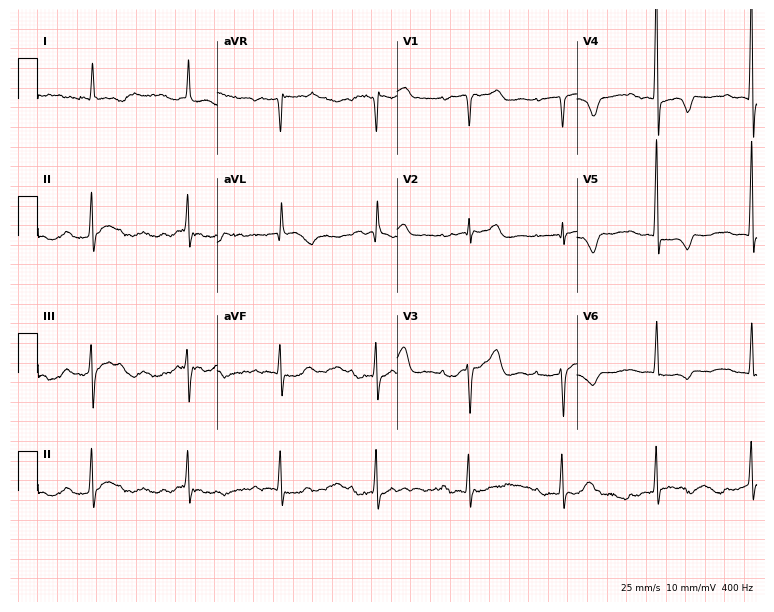
12-lead ECG (7.3-second recording at 400 Hz) from an 82-year-old woman. Screened for six findings — first-degree AV block, right bundle branch block, left bundle branch block, sinus bradycardia, atrial fibrillation, sinus tachycardia — none is recorded.